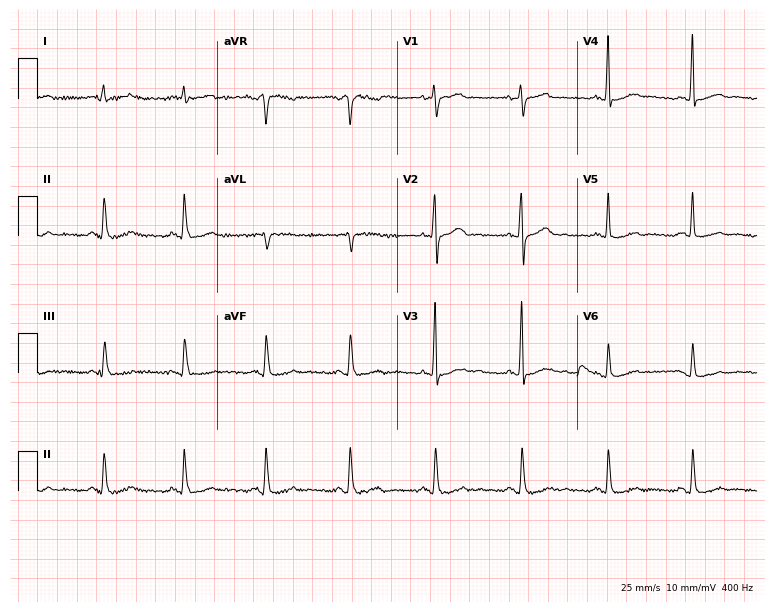
12-lead ECG from a 52-year-old male. Labelled as a normal ECG.